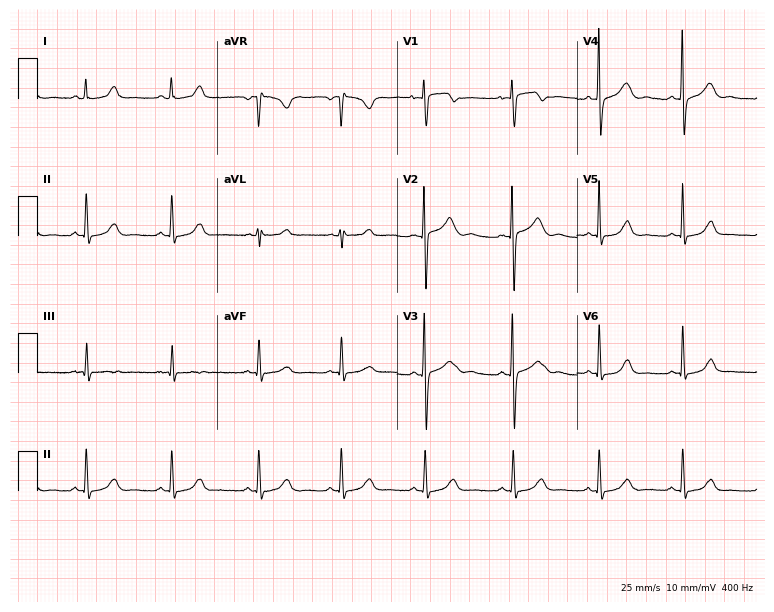
Electrocardiogram, a female, 26 years old. Overall reading on record: normal ECG.